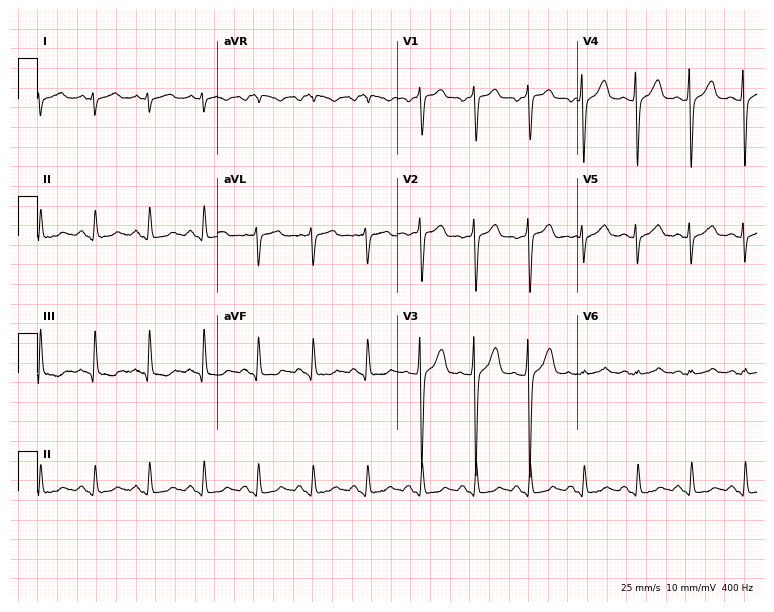
12-lead ECG from a 32-year-old male. Findings include sinus tachycardia (a sinus rate of 100 beats per minute or more).